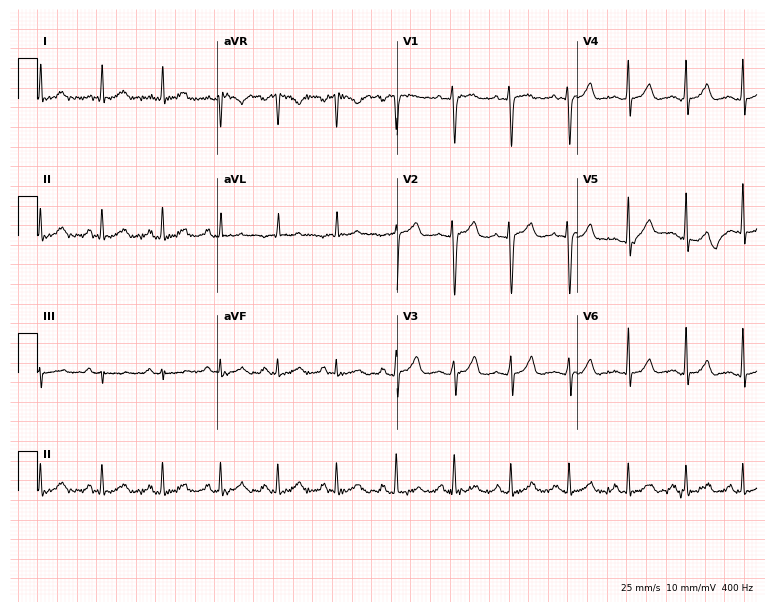
Standard 12-lead ECG recorded from a woman, 55 years old (7.3-second recording at 400 Hz). The tracing shows sinus tachycardia (a sinus rate of 100 beats per minute or more).